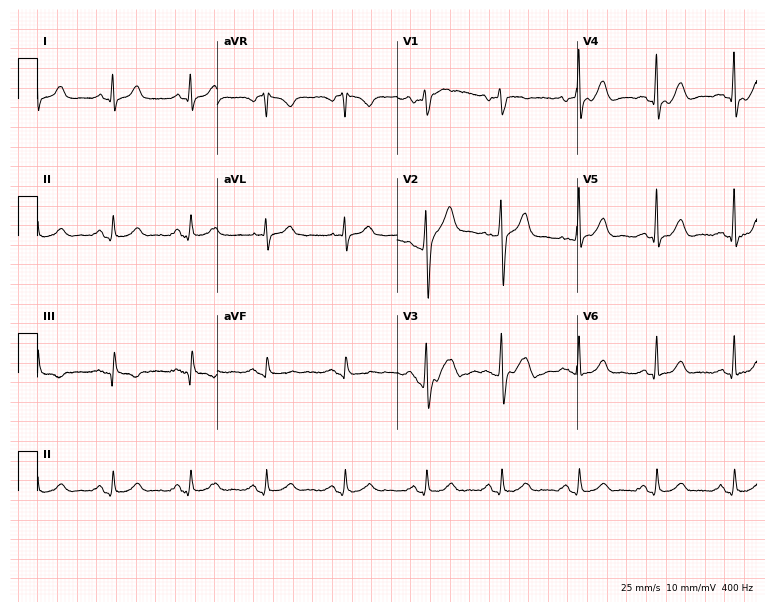
Standard 12-lead ECG recorded from a male patient, 67 years old (7.3-second recording at 400 Hz). None of these six findings is recorded: first-degree AV block, right bundle branch block (RBBB), left bundle branch block (LBBB), sinus bradycardia, atrial fibrillation (AF), sinus tachycardia. Only these six findings were labelled.